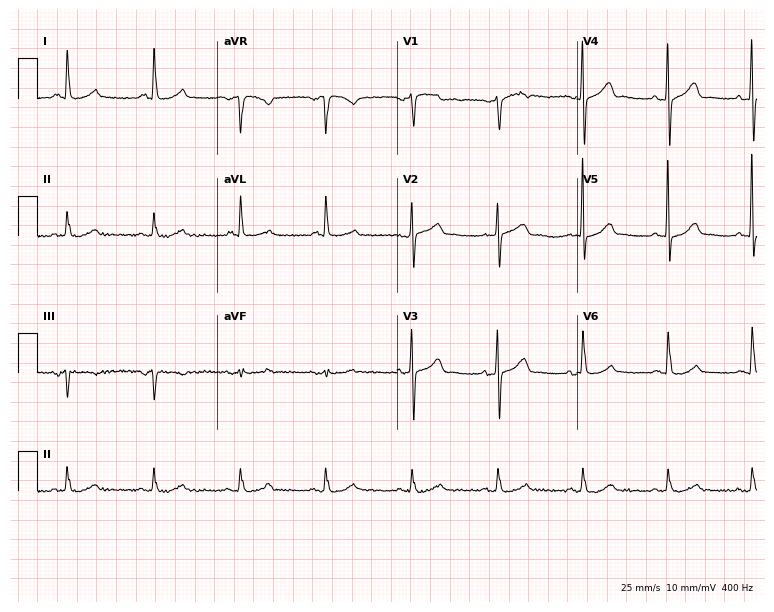
12-lead ECG from an 80-year-old male patient (7.3-second recording at 400 Hz). Recorded interpretation: within normal limits.